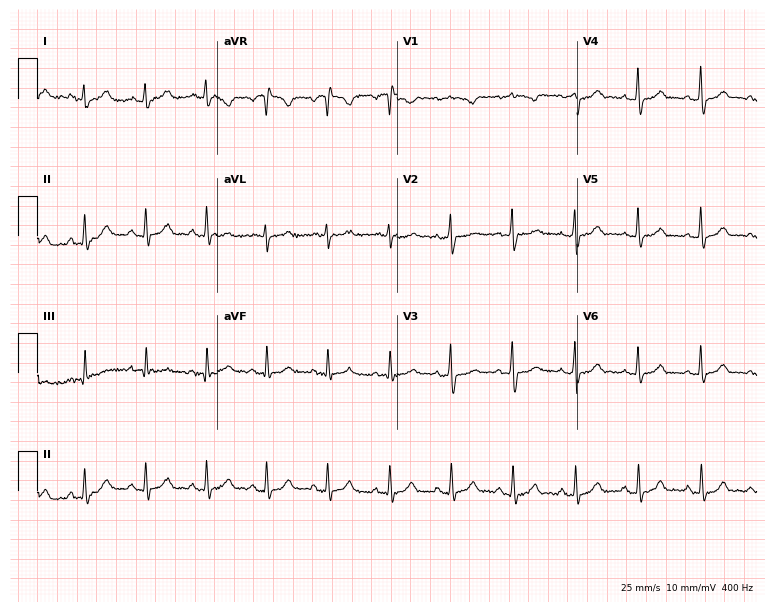
12-lead ECG from a 48-year-old female (7.3-second recording at 400 Hz). No first-degree AV block, right bundle branch block, left bundle branch block, sinus bradycardia, atrial fibrillation or sinus tachycardia recorded for this tracing. Other findings, if any, are not listed.